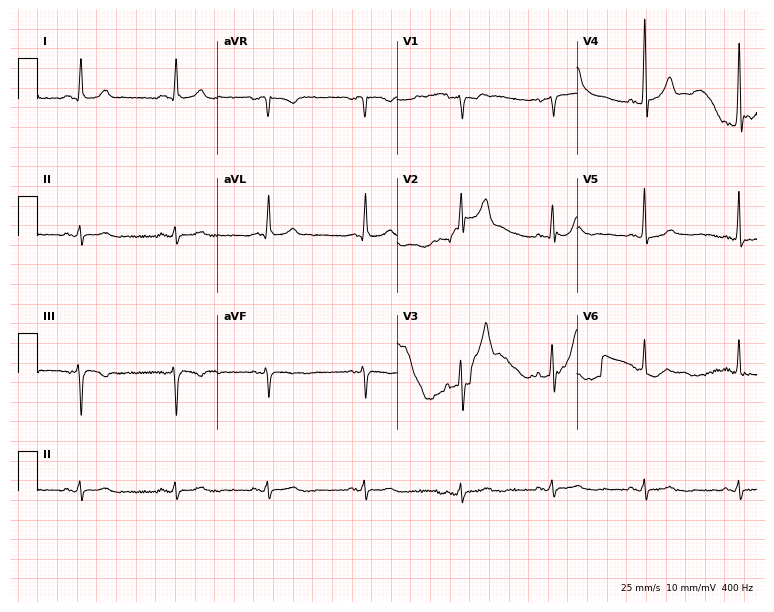
Standard 12-lead ECG recorded from a 70-year-old man (7.3-second recording at 400 Hz). None of these six findings is recorded: first-degree AV block, right bundle branch block, left bundle branch block, sinus bradycardia, atrial fibrillation, sinus tachycardia. Other findings, if any, are not listed.